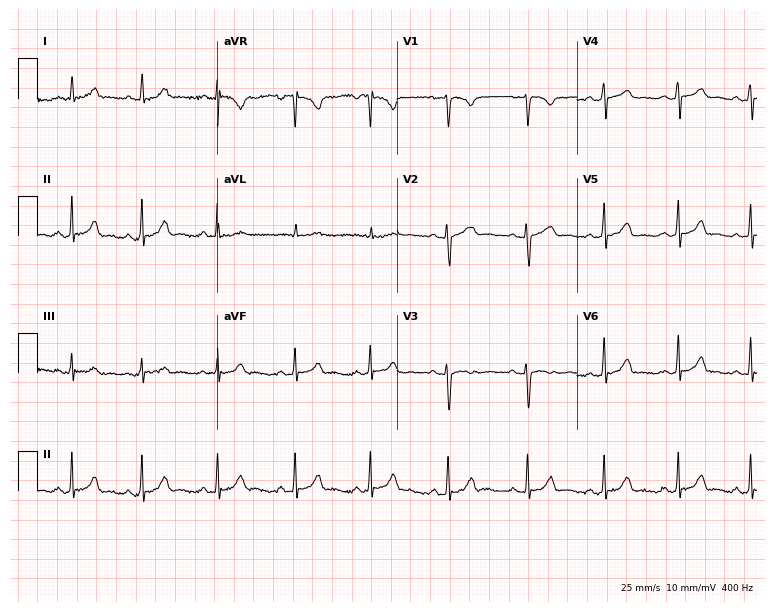
Standard 12-lead ECG recorded from a 29-year-old female patient (7.3-second recording at 400 Hz). Read as a normal ECG.